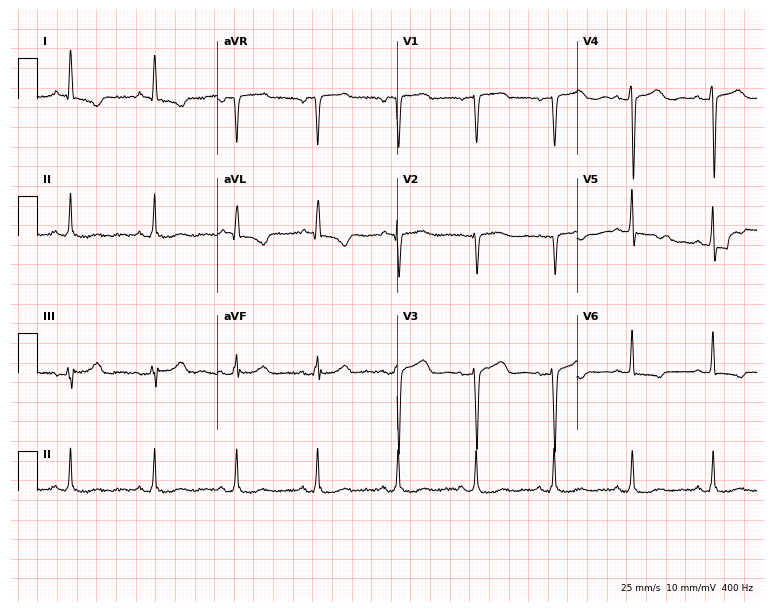
12-lead ECG from a 60-year-old female. Screened for six findings — first-degree AV block, right bundle branch block, left bundle branch block, sinus bradycardia, atrial fibrillation, sinus tachycardia — none is recorded.